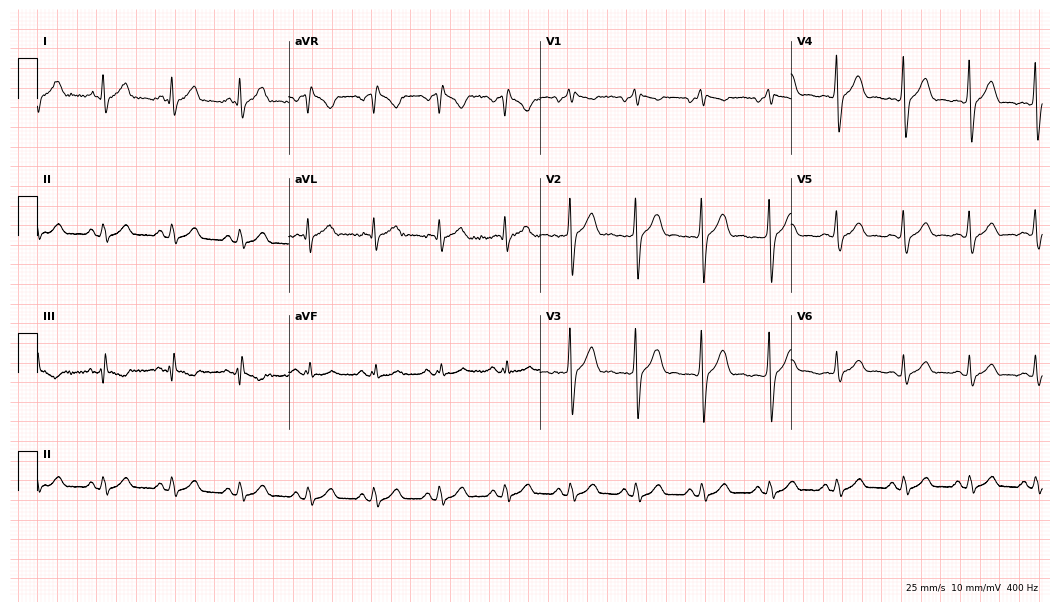
Electrocardiogram, a 25-year-old man. Of the six screened findings (first-degree AV block, right bundle branch block (RBBB), left bundle branch block (LBBB), sinus bradycardia, atrial fibrillation (AF), sinus tachycardia), none is recorded. Findings outside these six are not listed.